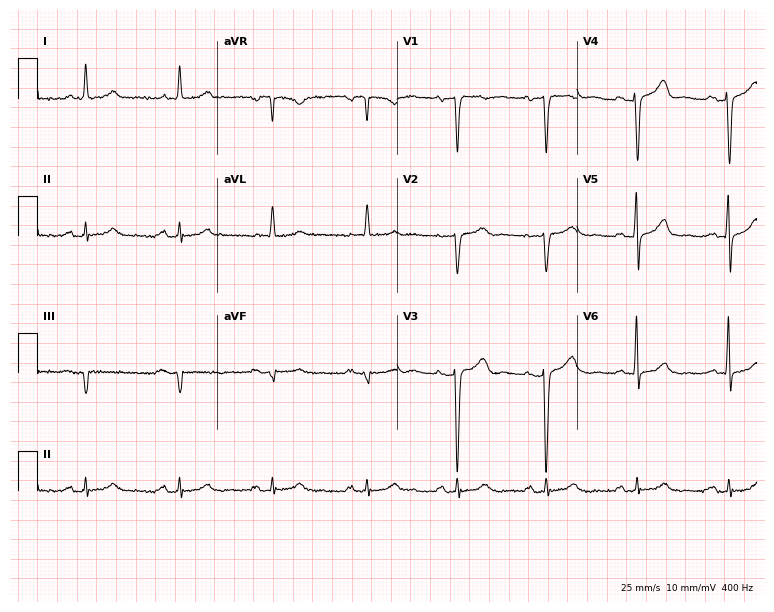
ECG — a 74-year-old male. Labelled as a normal ECG.